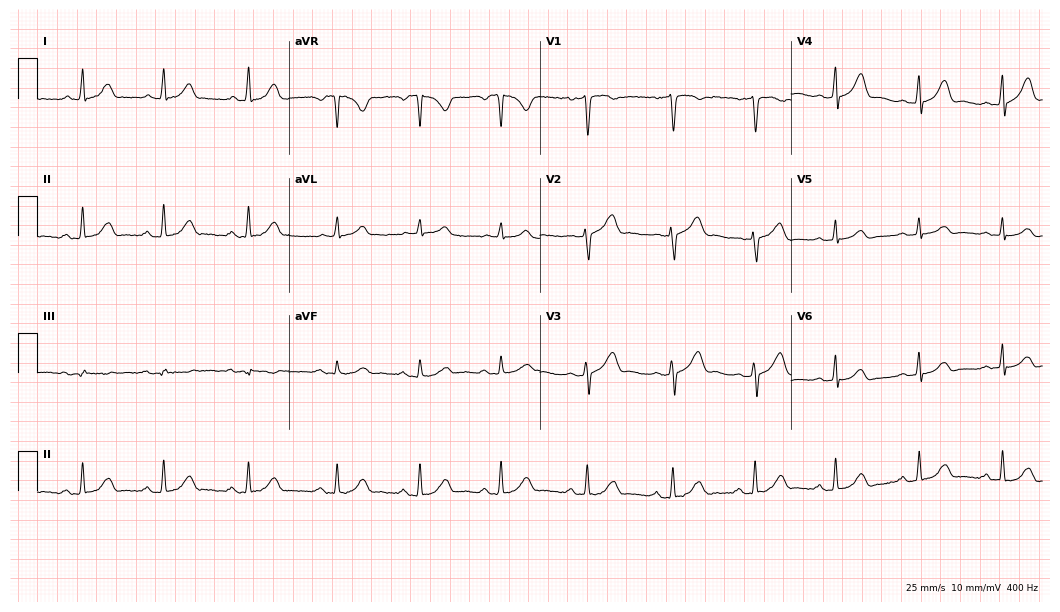
Resting 12-lead electrocardiogram. Patient: a 20-year-old female. Read as a normal ECG.